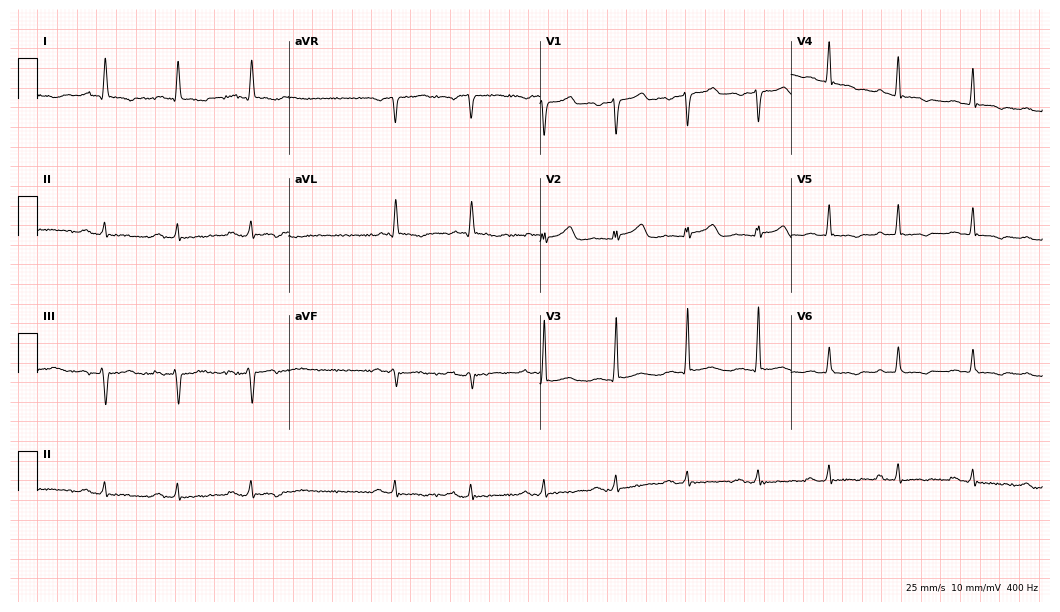
Resting 12-lead electrocardiogram (10.2-second recording at 400 Hz). Patient: an 86-year-old female. None of these six findings is recorded: first-degree AV block, right bundle branch block (RBBB), left bundle branch block (LBBB), sinus bradycardia, atrial fibrillation (AF), sinus tachycardia.